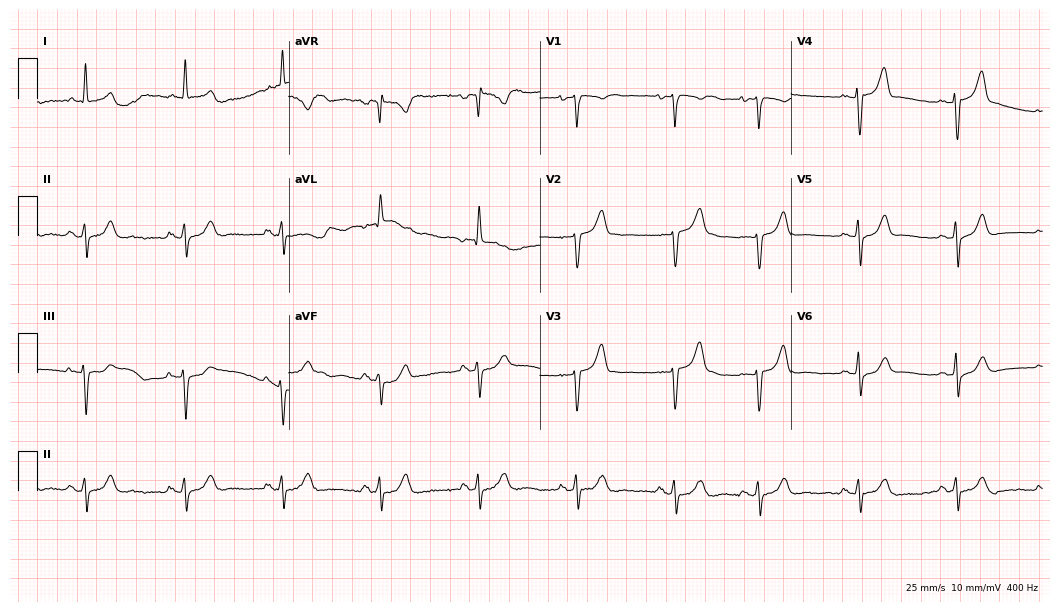
Standard 12-lead ECG recorded from a male patient, 80 years old (10.2-second recording at 400 Hz). None of these six findings is recorded: first-degree AV block, right bundle branch block (RBBB), left bundle branch block (LBBB), sinus bradycardia, atrial fibrillation (AF), sinus tachycardia. Other findings, if any, are not listed.